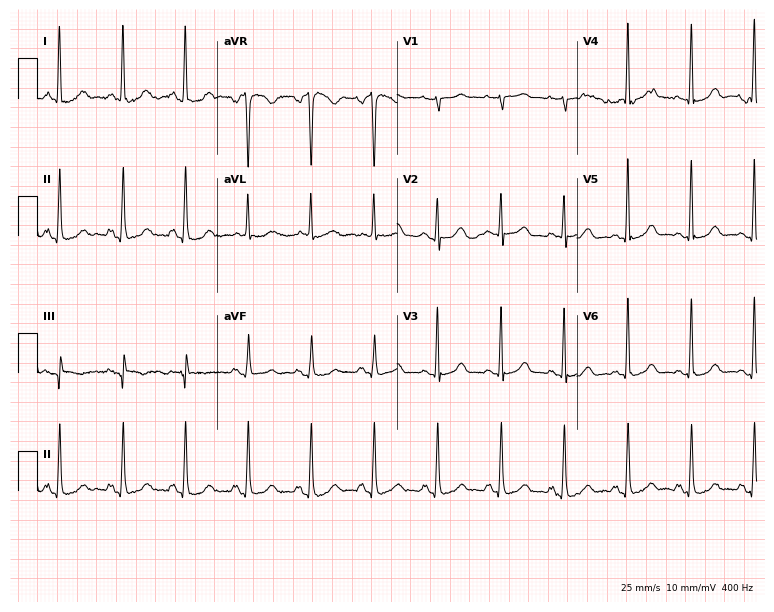
12-lead ECG from a 77-year-old woman. Recorded interpretation: within normal limits.